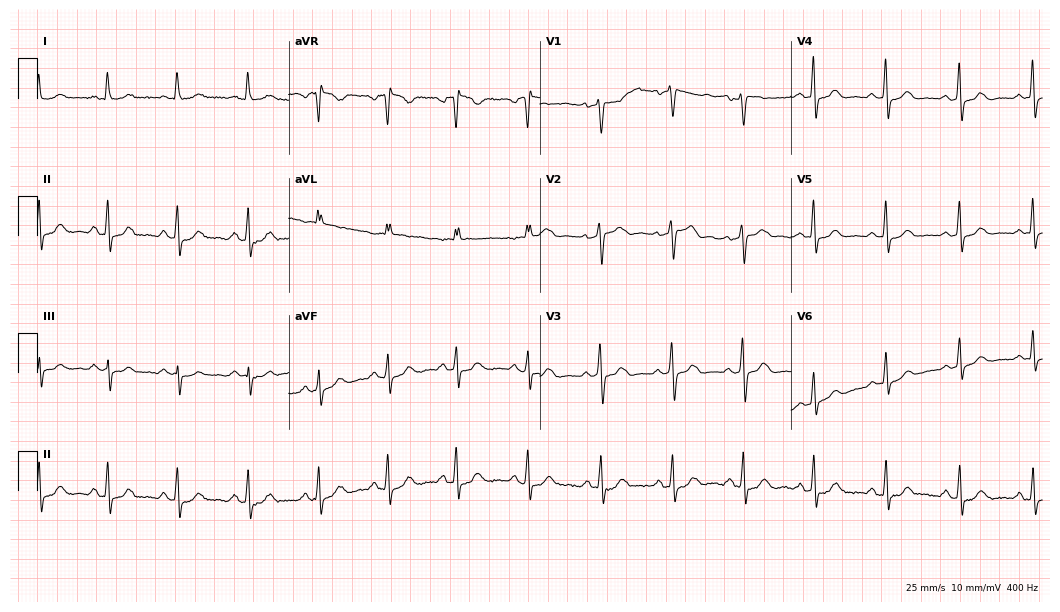
Resting 12-lead electrocardiogram. Patient: a female, 62 years old. Read as a normal ECG.